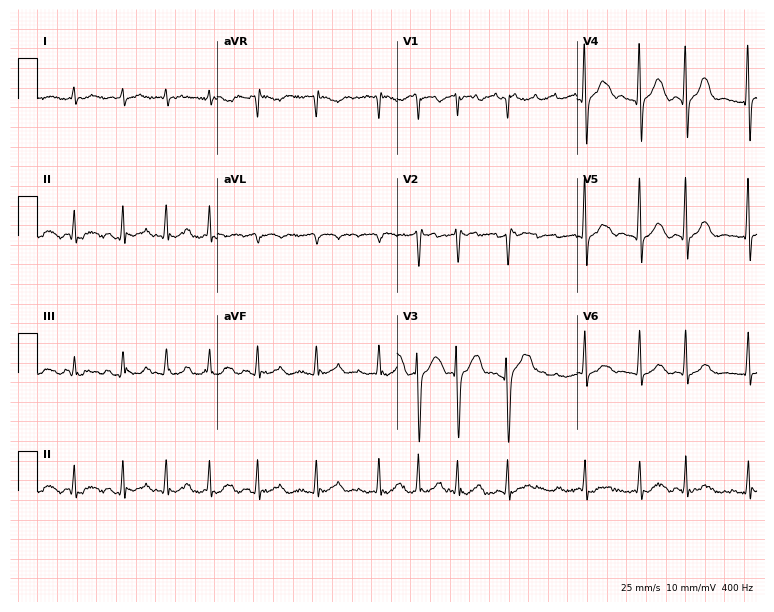
Resting 12-lead electrocardiogram. Patient: a male, 71 years old. The tracing shows sinus tachycardia (a sinus rate of 100 beats per minute or more).